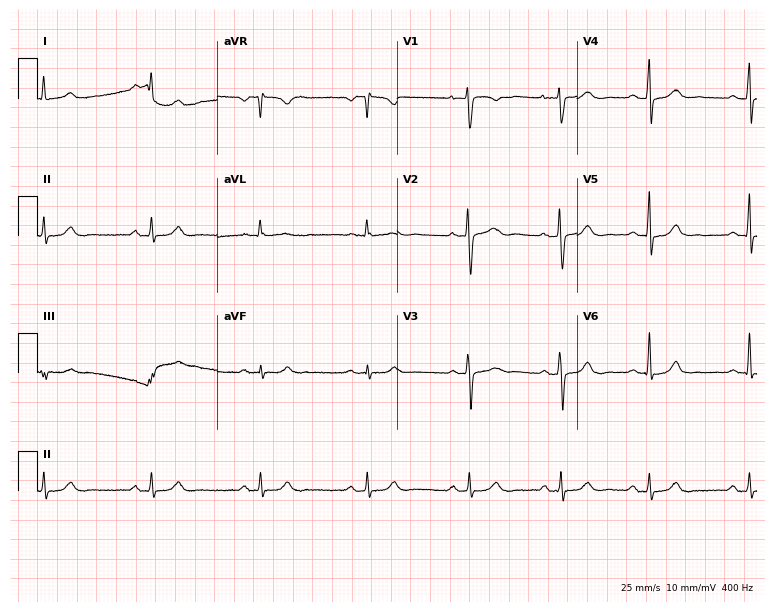
Resting 12-lead electrocardiogram. Patient: a female, 33 years old. Read as a normal ECG.